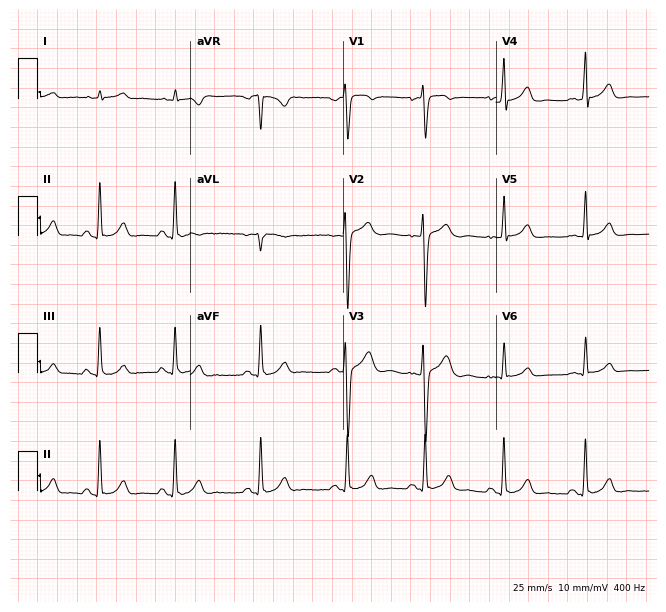
Resting 12-lead electrocardiogram. Patient: a woman, 17 years old. Read as a normal ECG.